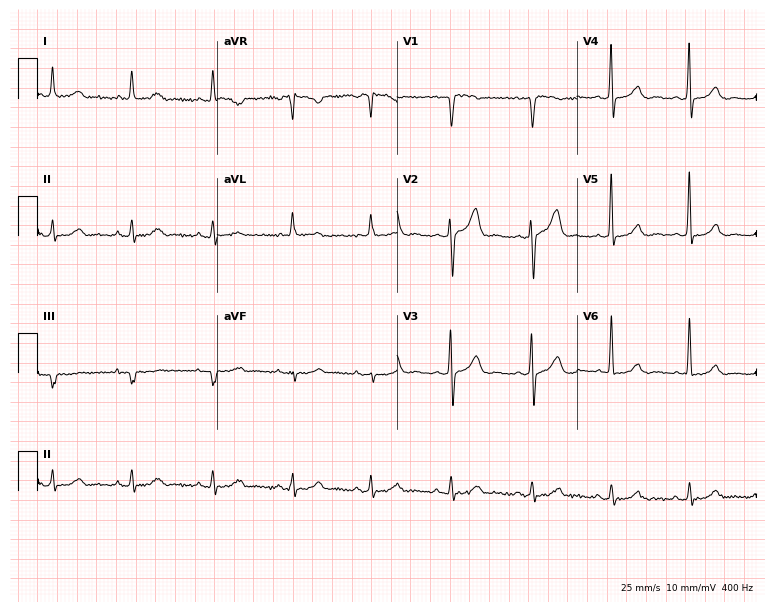
ECG (7.3-second recording at 400 Hz) — a woman, 59 years old. Screened for six findings — first-degree AV block, right bundle branch block, left bundle branch block, sinus bradycardia, atrial fibrillation, sinus tachycardia — none is recorded. Other findings, if any, are not listed.